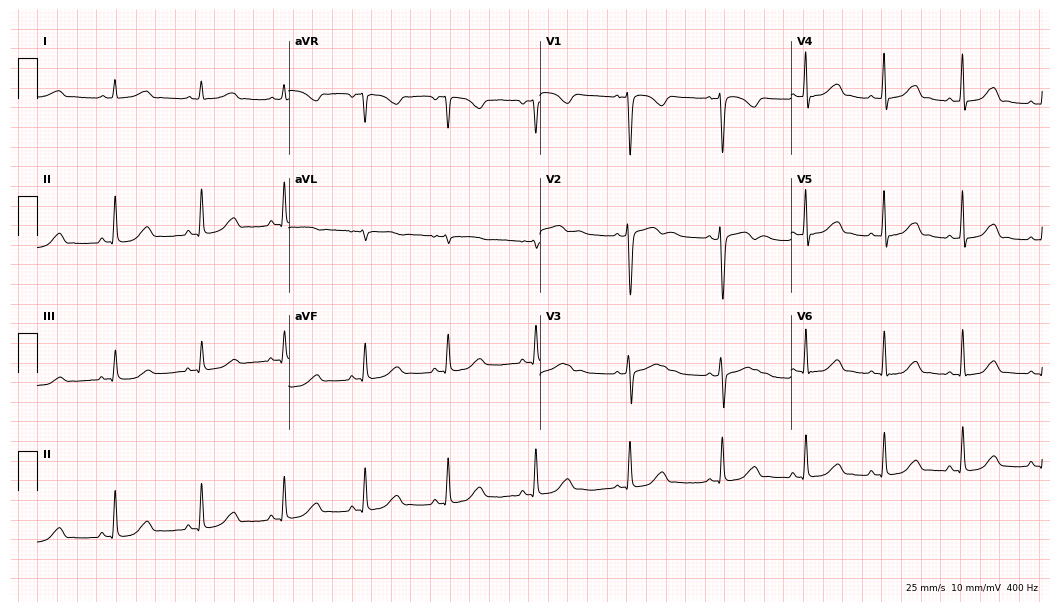
Electrocardiogram (10.2-second recording at 400 Hz), a 41-year-old female. Overall reading on record: normal ECG.